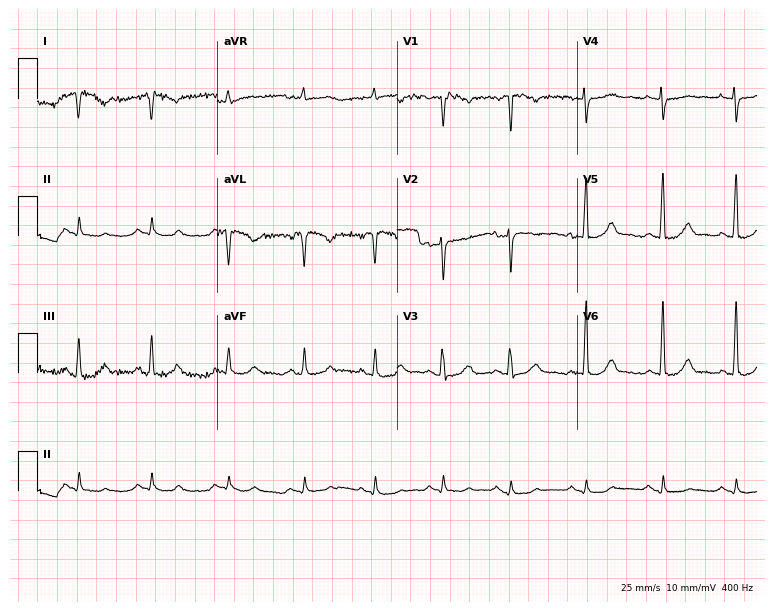
Resting 12-lead electrocardiogram. Patient: a 46-year-old female. None of these six findings is recorded: first-degree AV block, right bundle branch block (RBBB), left bundle branch block (LBBB), sinus bradycardia, atrial fibrillation (AF), sinus tachycardia. Other findings, if any, are not listed.